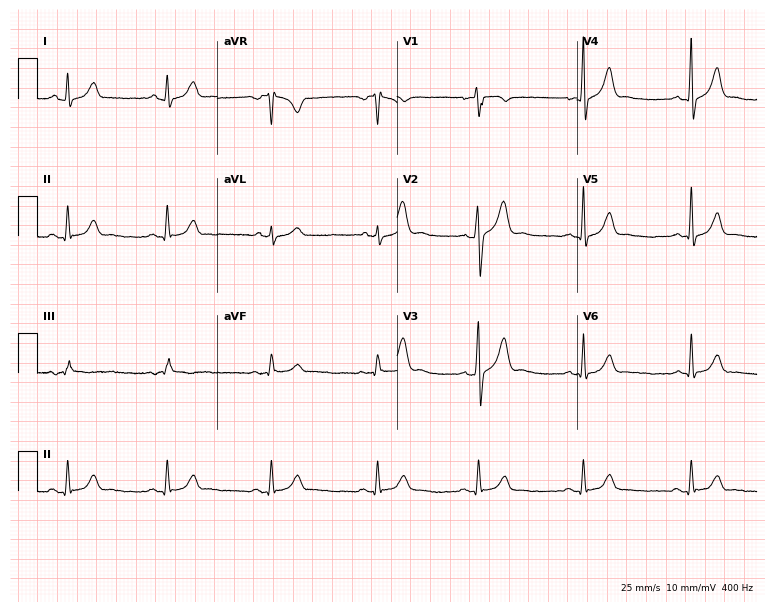
Resting 12-lead electrocardiogram. Patient: a male, 39 years old. Read as a normal ECG.